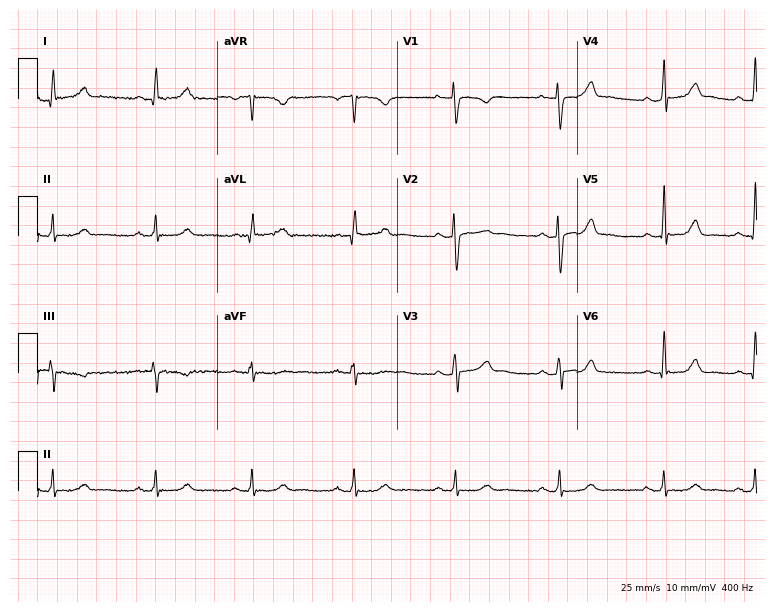
ECG (7.3-second recording at 400 Hz) — a female, 26 years old. Labelled as a normal ECG.